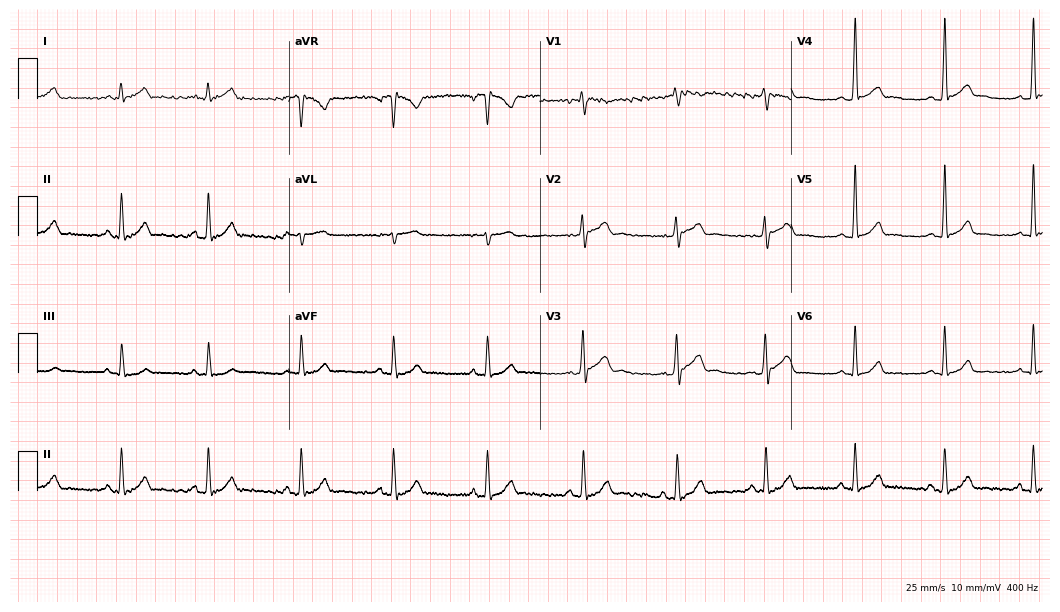
Resting 12-lead electrocardiogram. Patient: a 27-year-old male. Read as a normal ECG.